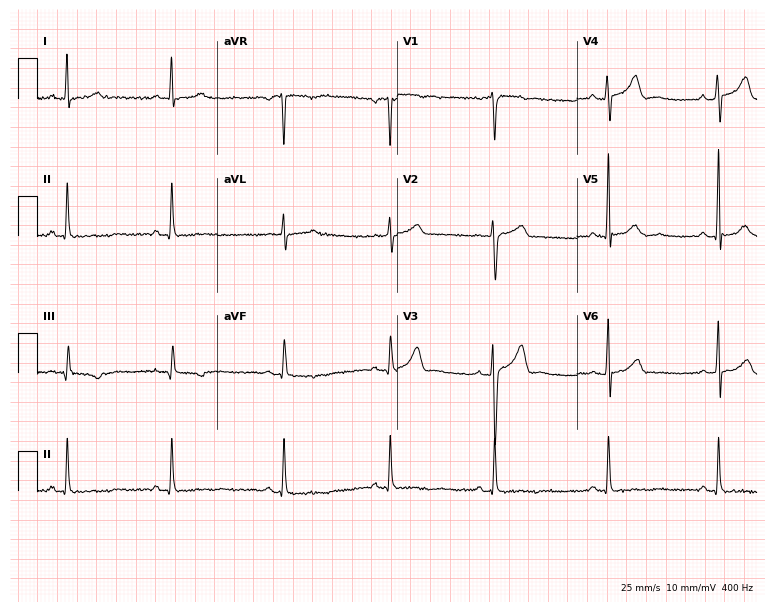
12-lead ECG from a male, 37 years old. Labelled as a normal ECG.